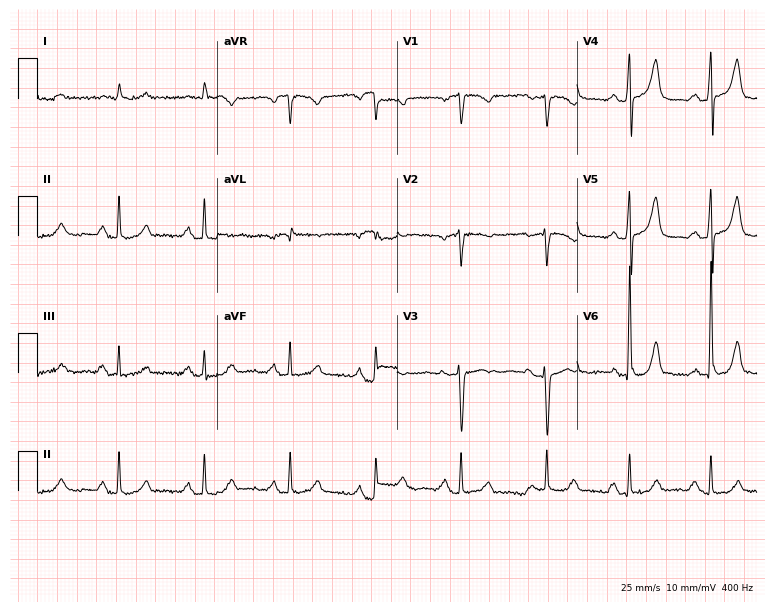
12-lead ECG (7.3-second recording at 400 Hz) from a female, 77 years old. Screened for six findings — first-degree AV block, right bundle branch block, left bundle branch block, sinus bradycardia, atrial fibrillation, sinus tachycardia — none is recorded.